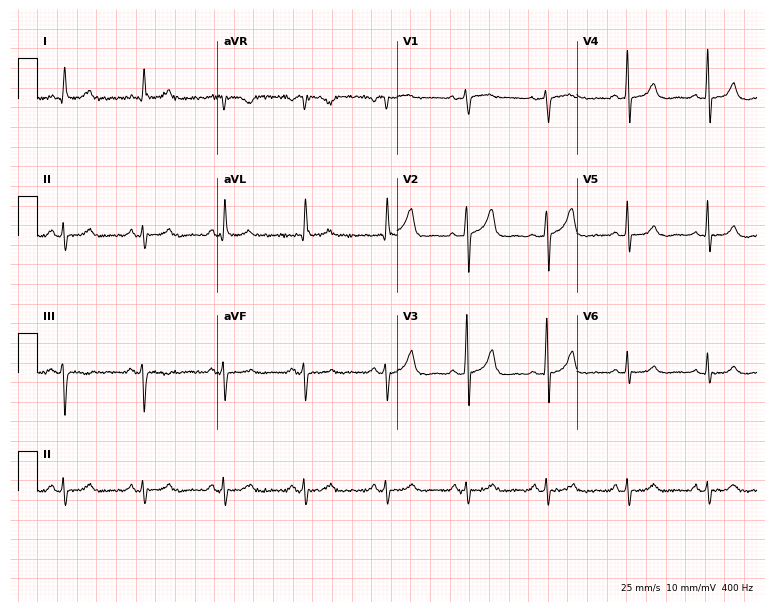
ECG (7.3-second recording at 400 Hz) — an 84-year-old man. Screened for six findings — first-degree AV block, right bundle branch block, left bundle branch block, sinus bradycardia, atrial fibrillation, sinus tachycardia — none is recorded. Only these six findings were labelled.